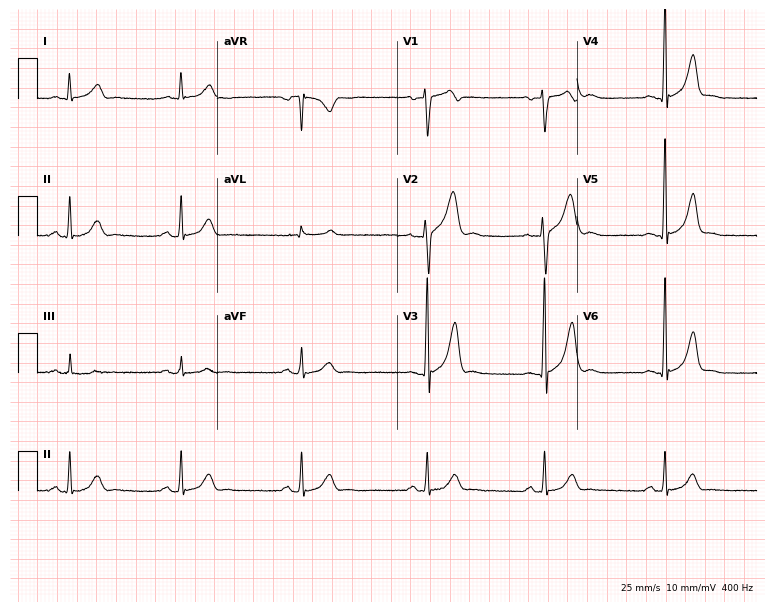
Electrocardiogram (7.3-second recording at 400 Hz), a man, 38 years old. Interpretation includes sinus bradycardia (a sinus rate of 50 beats per minute or less).